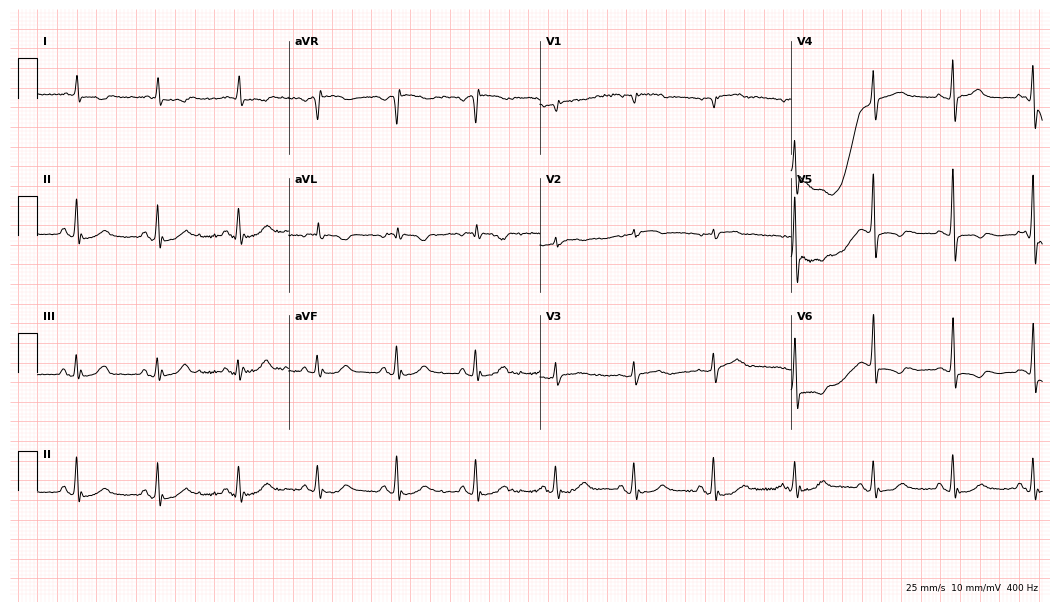
ECG (10.2-second recording at 400 Hz) — a man, 70 years old. Screened for six findings — first-degree AV block, right bundle branch block, left bundle branch block, sinus bradycardia, atrial fibrillation, sinus tachycardia — none is recorded.